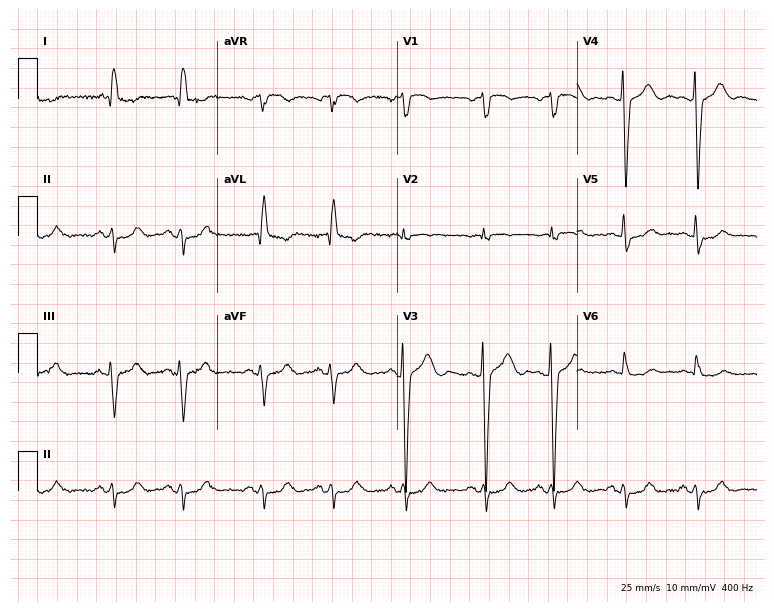
12-lead ECG (7.3-second recording at 400 Hz) from a 77-year-old male patient. Screened for six findings — first-degree AV block, right bundle branch block, left bundle branch block, sinus bradycardia, atrial fibrillation, sinus tachycardia — none is recorded.